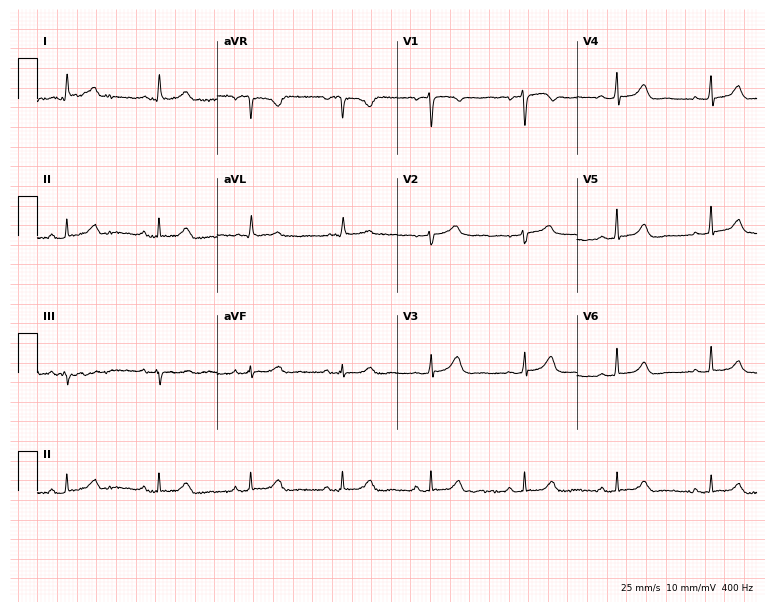
Electrocardiogram, a woman, 65 years old. Overall reading on record: normal ECG.